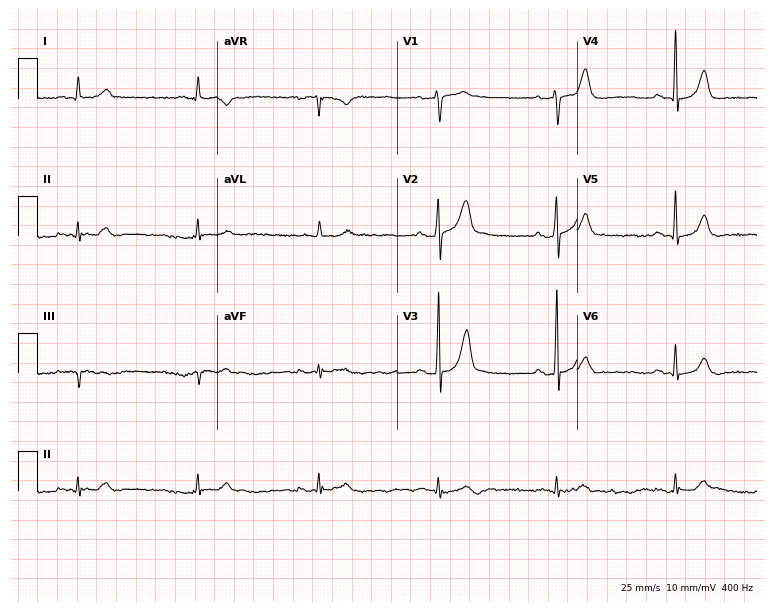
12-lead ECG from a 63-year-old man (7.3-second recording at 400 Hz). Shows sinus bradycardia (a sinus rate of 50 beats per minute or less).